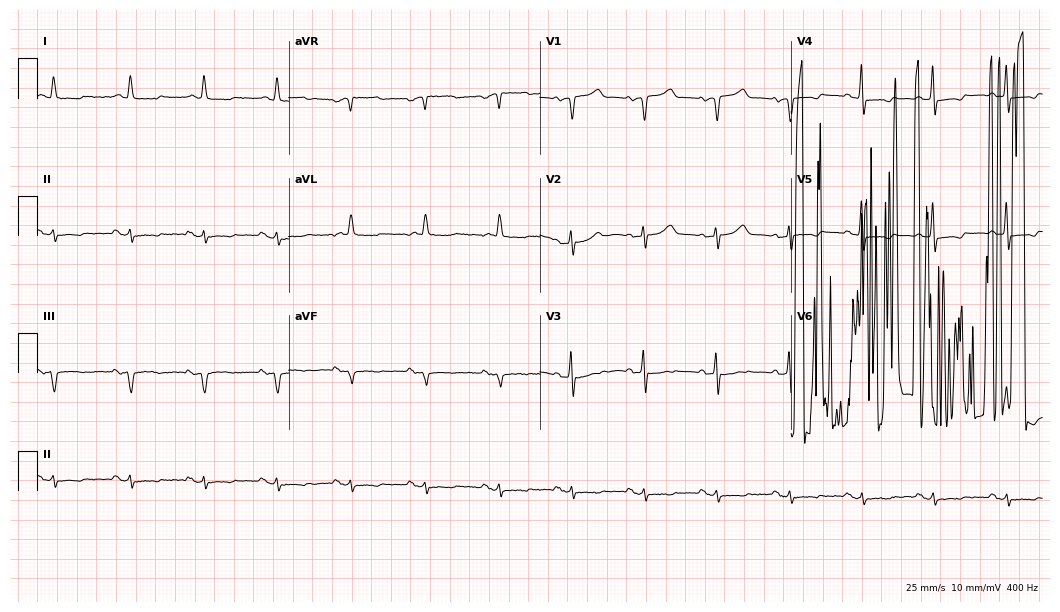
Electrocardiogram, an 80-year-old female patient. Of the six screened findings (first-degree AV block, right bundle branch block (RBBB), left bundle branch block (LBBB), sinus bradycardia, atrial fibrillation (AF), sinus tachycardia), none is recorded. Other findings, if any, are not listed.